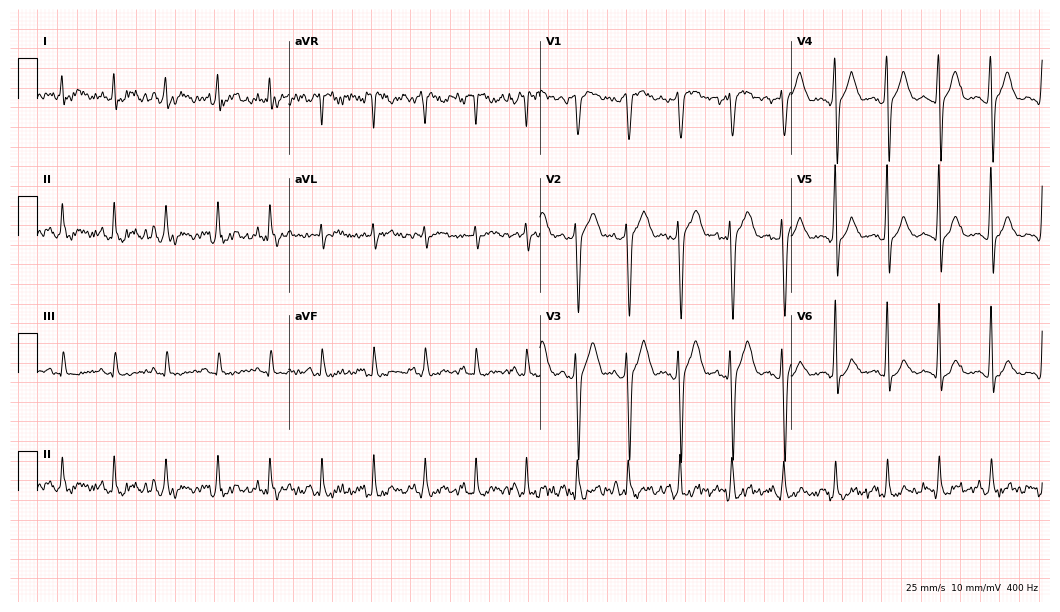
Electrocardiogram, a male patient, 45 years old. Interpretation includes sinus tachycardia (a sinus rate of 100 beats per minute or more).